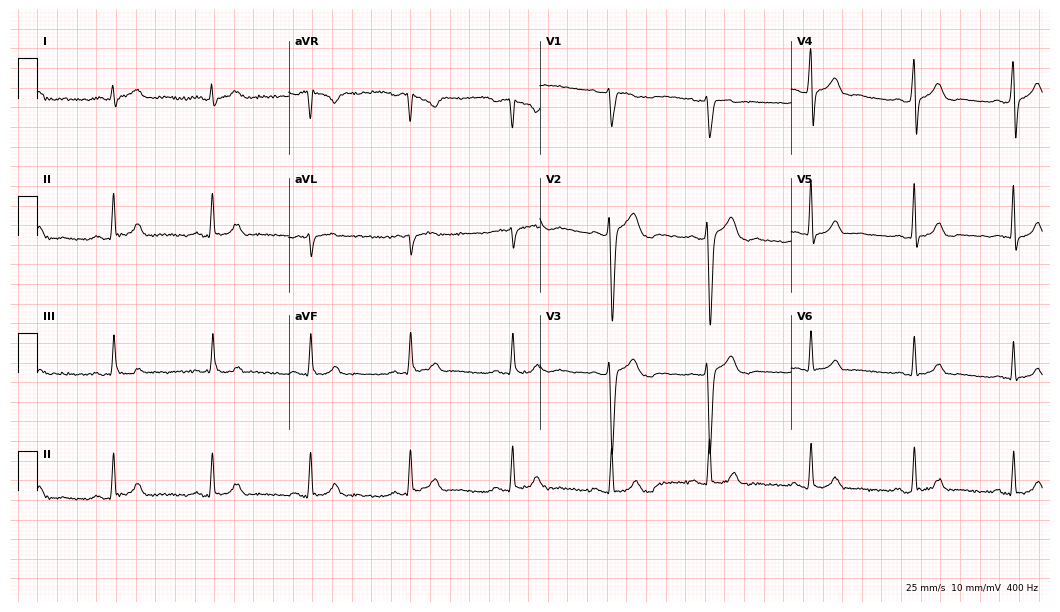
12-lead ECG from a 41-year-old male. Recorded interpretation: within normal limits.